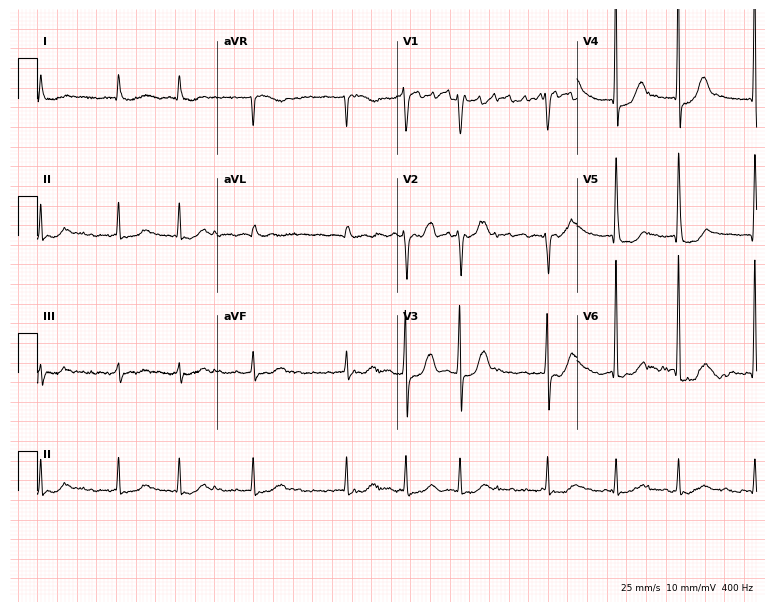
ECG (7.3-second recording at 400 Hz) — a woman, 76 years old. Findings include atrial fibrillation (AF).